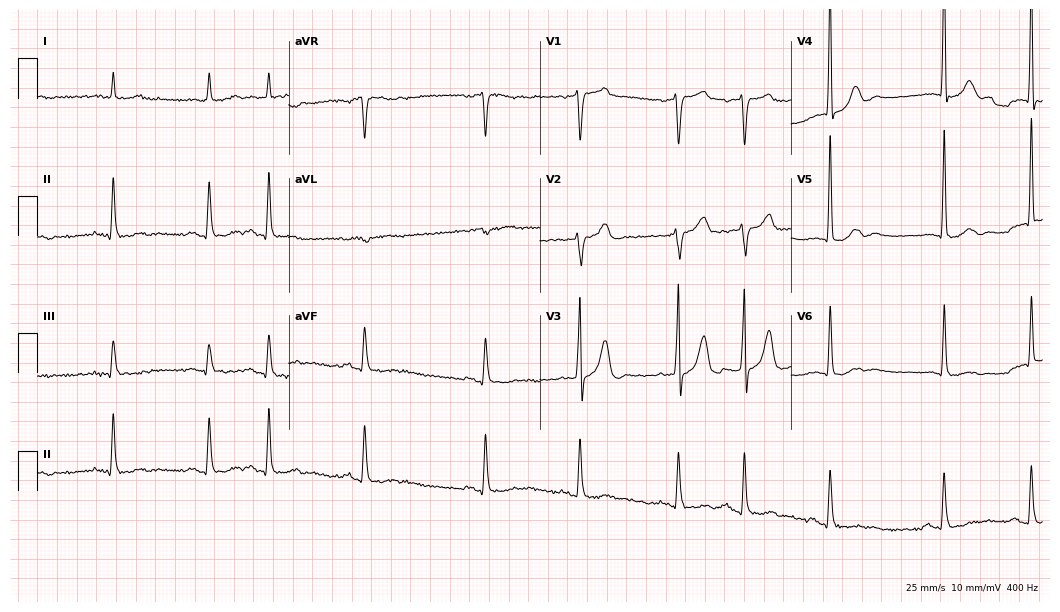
12-lead ECG from a male patient, 81 years old (10.2-second recording at 400 Hz). No first-degree AV block, right bundle branch block (RBBB), left bundle branch block (LBBB), sinus bradycardia, atrial fibrillation (AF) or sinus tachycardia recorded for this tracing. Only these six findings were labelled.